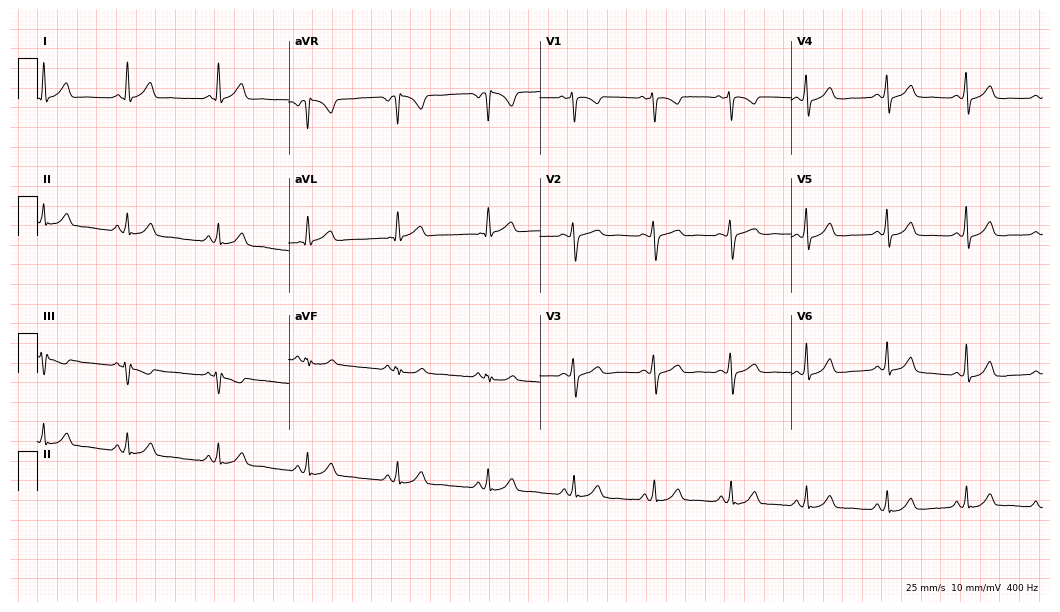
ECG (10.2-second recording at 400 Hz) — a female patient, 47 years old. Labelled as a normal ECG.